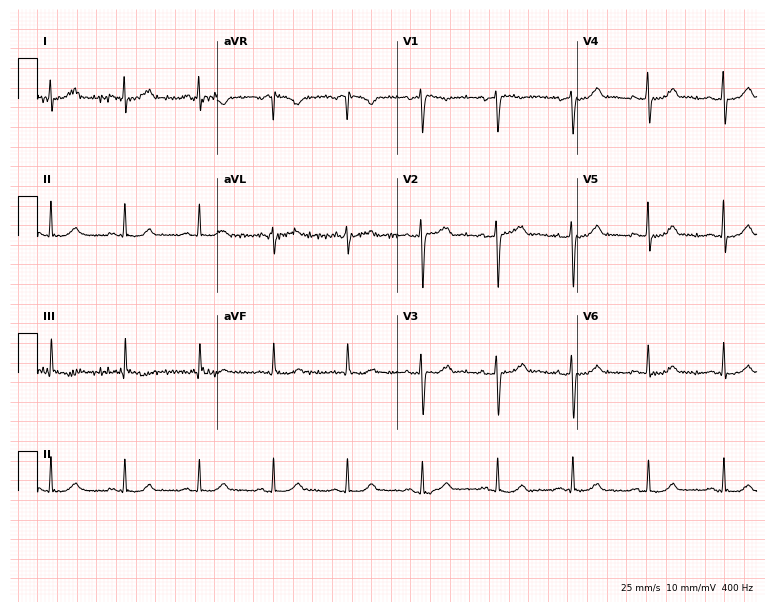
12-lead ECG from a woman, 60 years old. No first-degree AV block, right bundle branch block, left bundle branch block, sinus bradycardia, atrial fibrillation or sinus tachycardia recorded for this tracing.